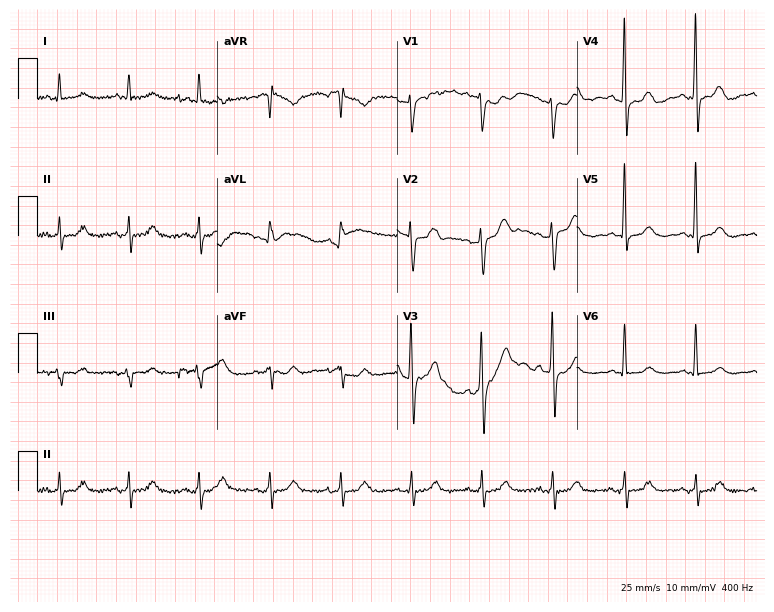
ECG (7.3-second recording at 400 Hz) — a male, 70 years old. Screened for six findings — first-degree AV block, right bundle branch block, left bundle branch block, sinus bradycardia, atrial fibrillation, sinus tachycardia — none is recorded.